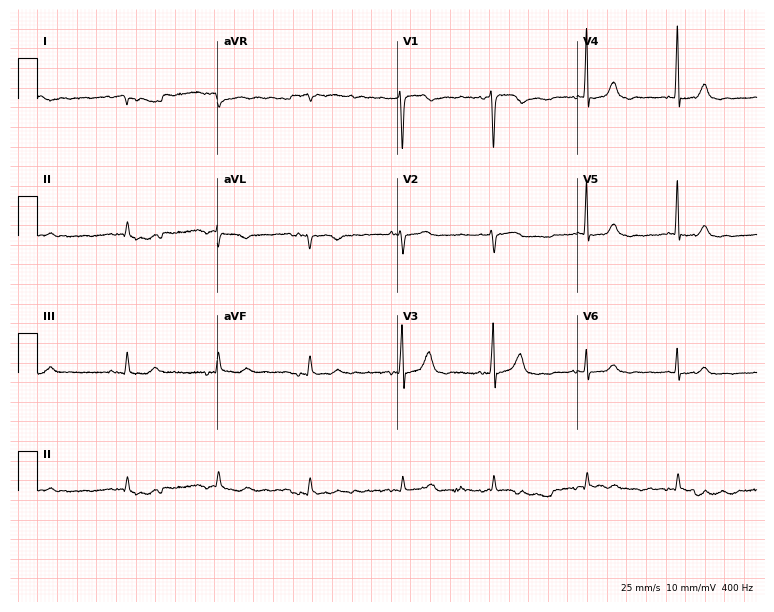
12-lead ECG from a male, 85 years old. Screened for six findings — first-degree AV block, right bundle branch block, left bundle branch block, sinus bradycardia, atrial fibrillation, sinus tachycardia — none is recorded.